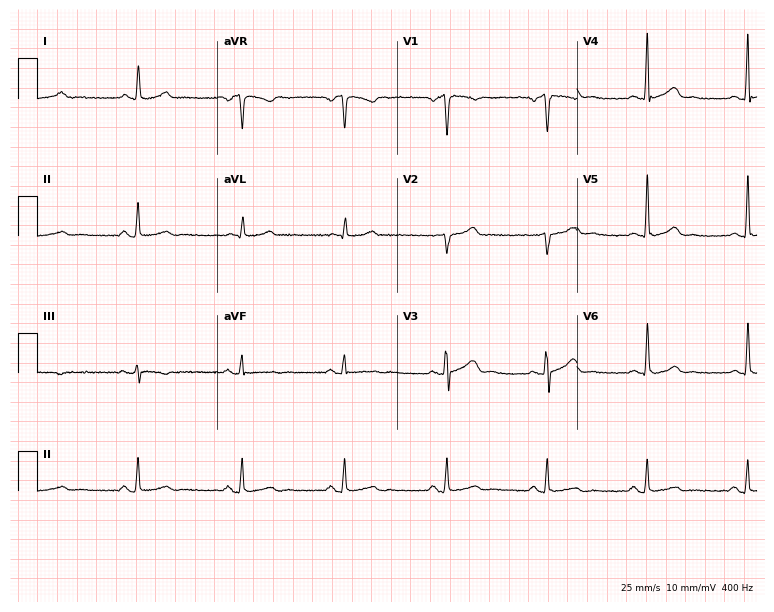
Standard 12-lead ECG recorded from a 39-year-old male (7.3-second recording at 400 Hz). None of these six findings is recorded: first-degree AV block, right bundle branch block, left bundle branch block, sinus bradycardia, atrial fibrillation, sinus tachycardia.